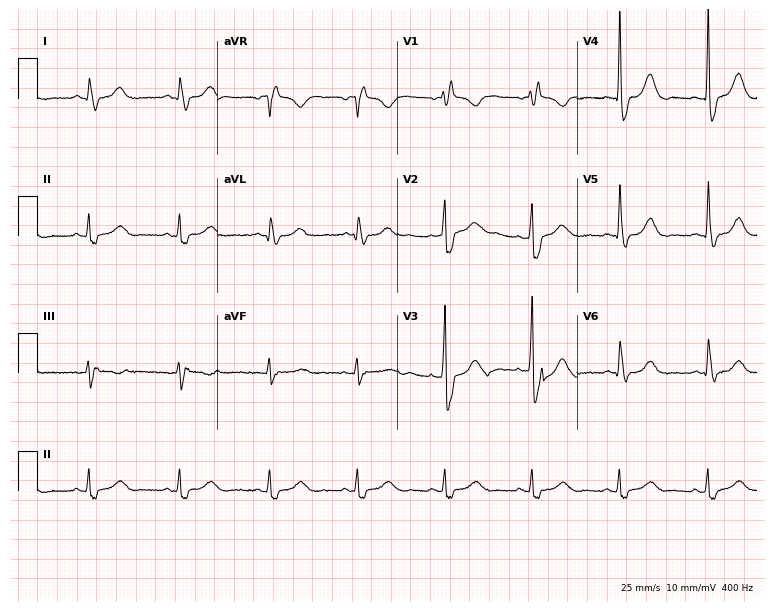
ECG (7.3-second recording at 400 Hz) — a 70-year-old man. Findings include right bundle branch block (RBBB).